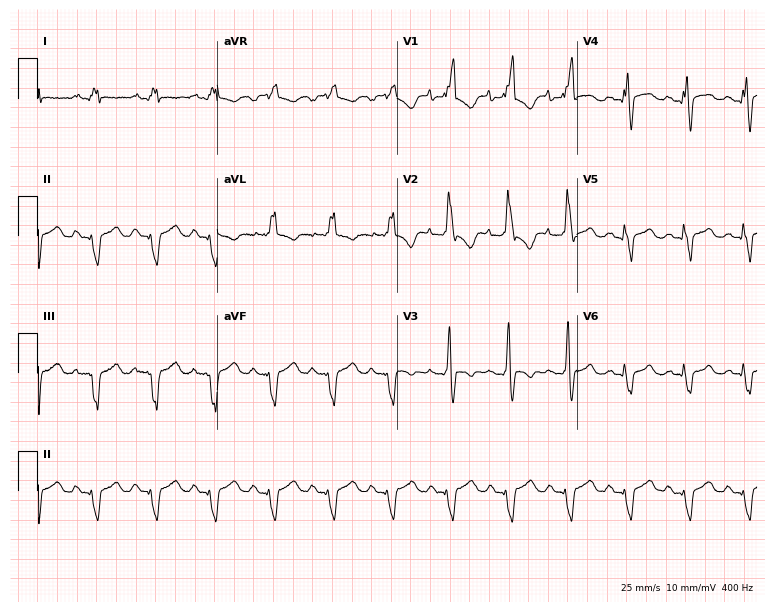
Resting 12-lead electrocardiogram (7.3-second recording at 400 Hz). Patient: a 41-year-old male. None of these six findings is recorded: first-degree AV block, right bundle branch block, left bundle branch block, sinus bradycardia, atrial fibrillation, sinus tachycardia.